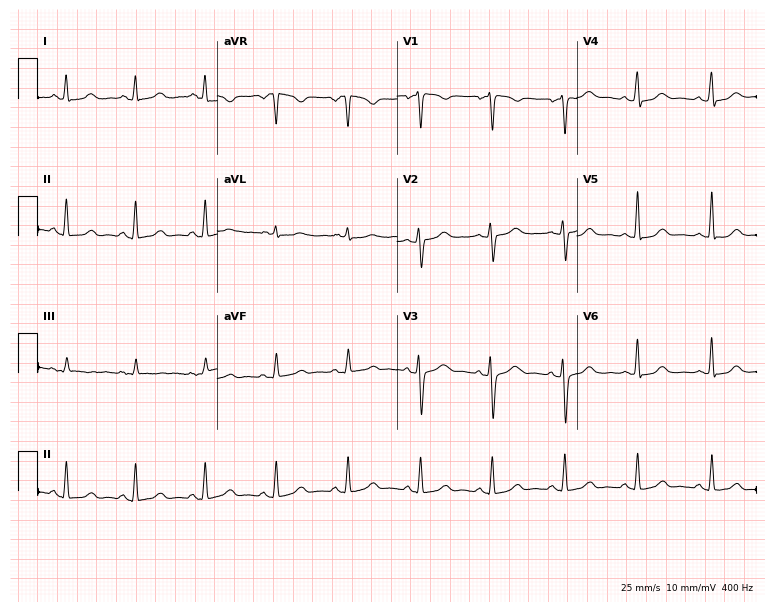
12-lead ECG from a 36-year-old female (7.3-second recording at 400 Hz). No first-degree AV block, right bundle branch block, left bundle branch block, sinus bradycardia, atrial fibrillation or sinus tachycardia recorded for this tracing.